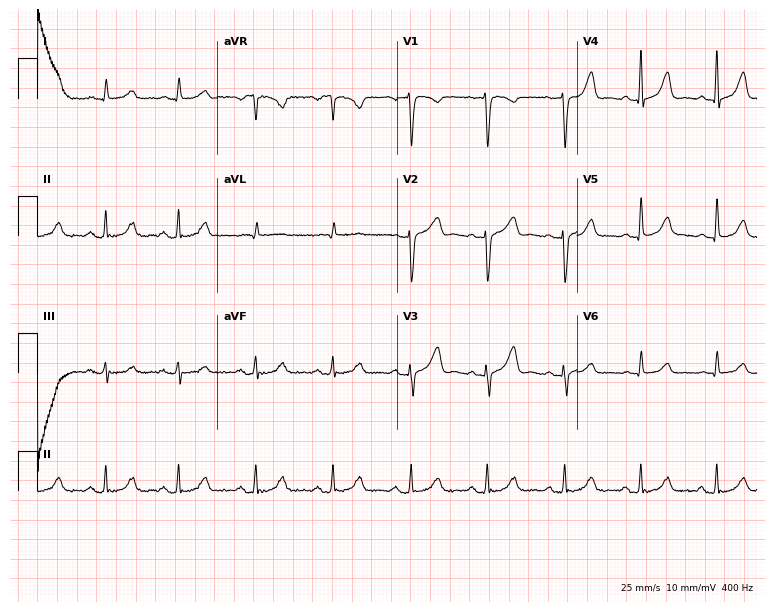
Electrocardiogram (7.3-second recording at 400 Hz), a 51-year-old female patient. Overall reading on record: normal ECG.